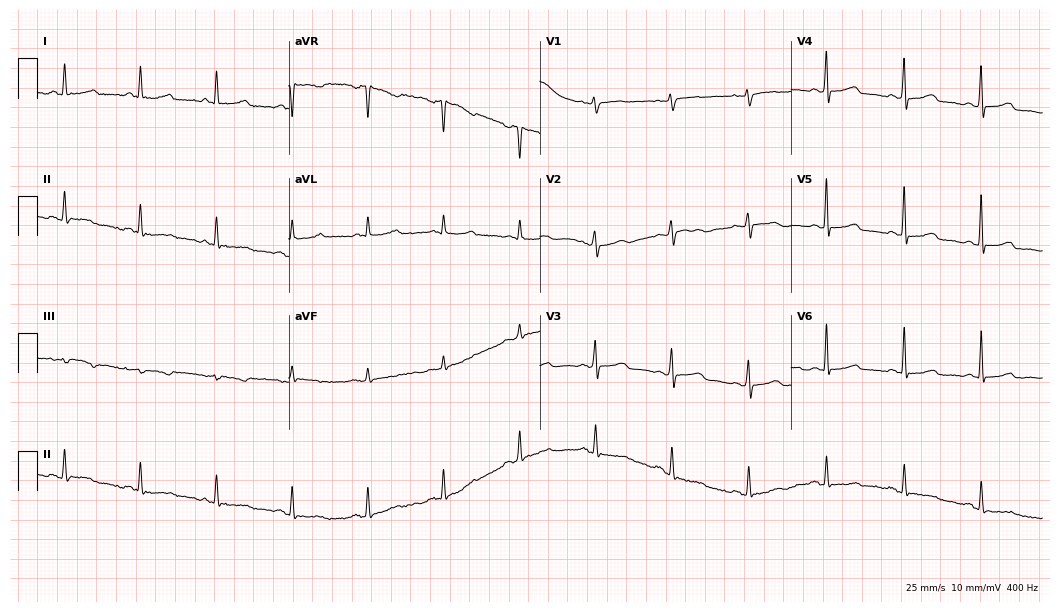
12-lead ECG from a 59-year-old woman. Labelled as a normal ECG.